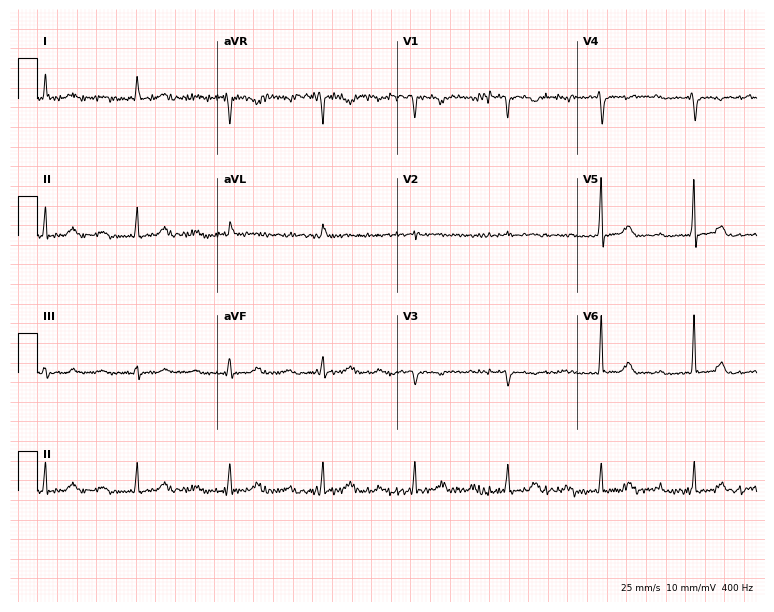
Electrocardiogram (7.3-second recording at 400 Hz), a 70-year-old man. Of the six screened findings (first-degree AV block, right bundle branch block, left bundle branch block, sinus bradycardia, atrial fibrillation, sinus tachycardia), none is recorded.